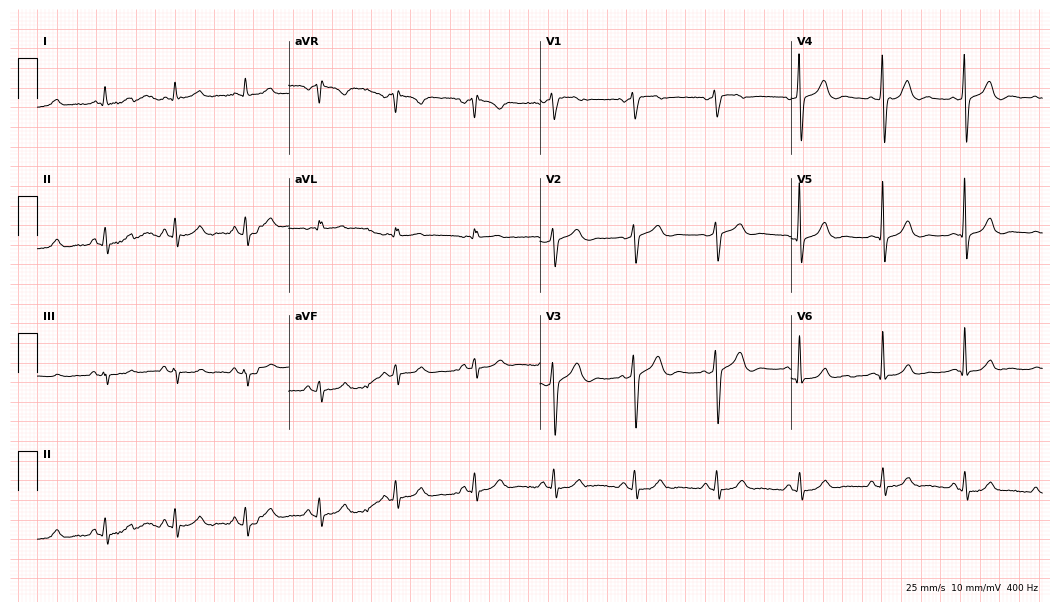
12-lead ECG from a 51-year-old male patient. Recorded interpretation: within normal limits.